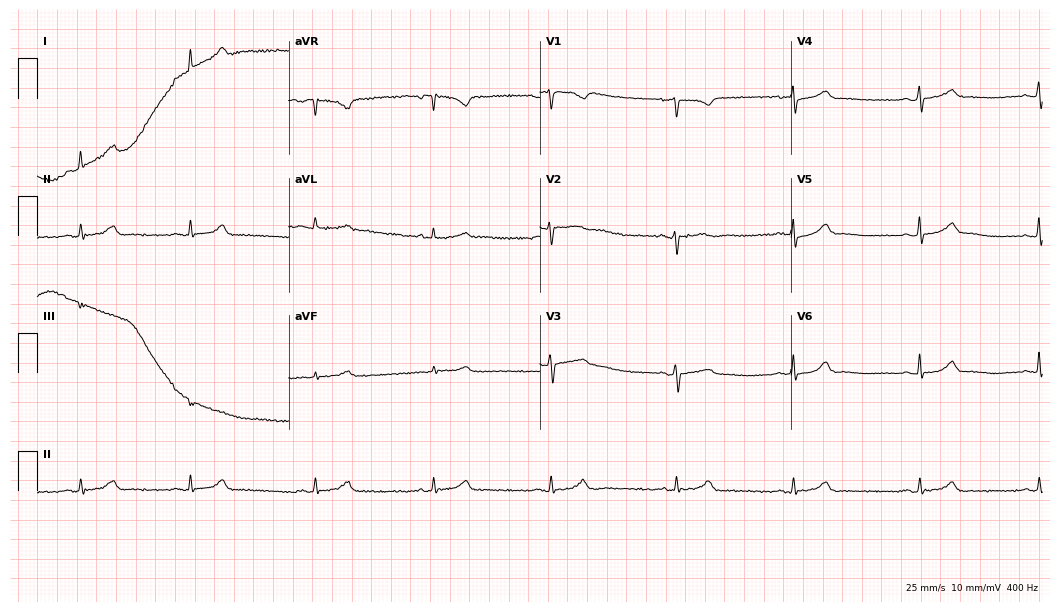
12-lead ECG from a 23-year-old female patient. Findings include sinus bradycardia (a sinus rate of 50 beats per minute or less).